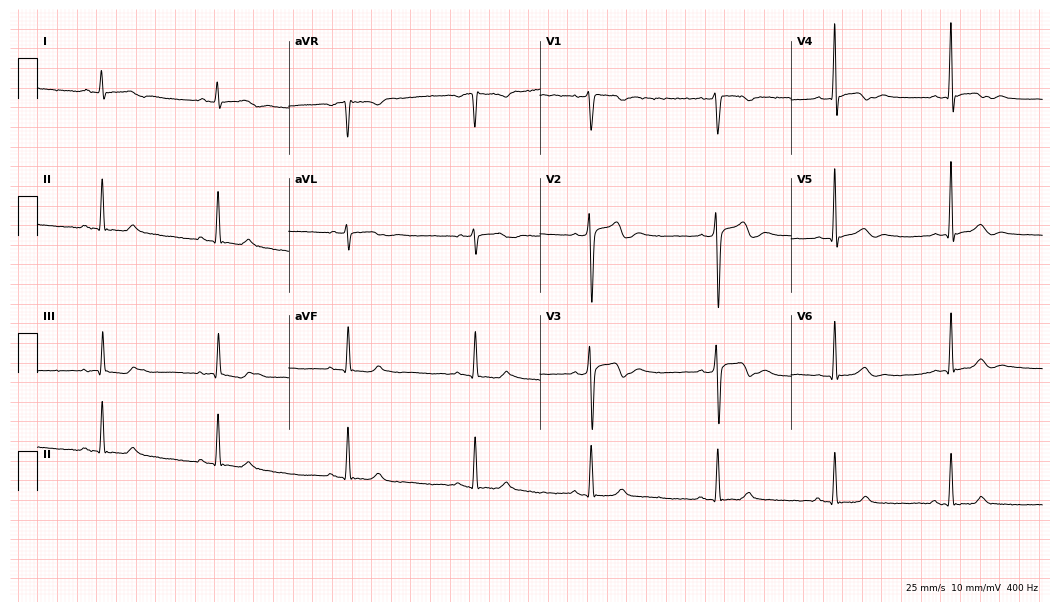
12-lead ECG (10.2-second recording at 400 Hz) from a 27-year-old woman. Screened for six findings — first-degree AV block, right bundle branch block, left bundle branch block, sinus bradycardia, atrial fibrillation, sinus tachycardia — none is recorded. Findings outside these six are not listed.